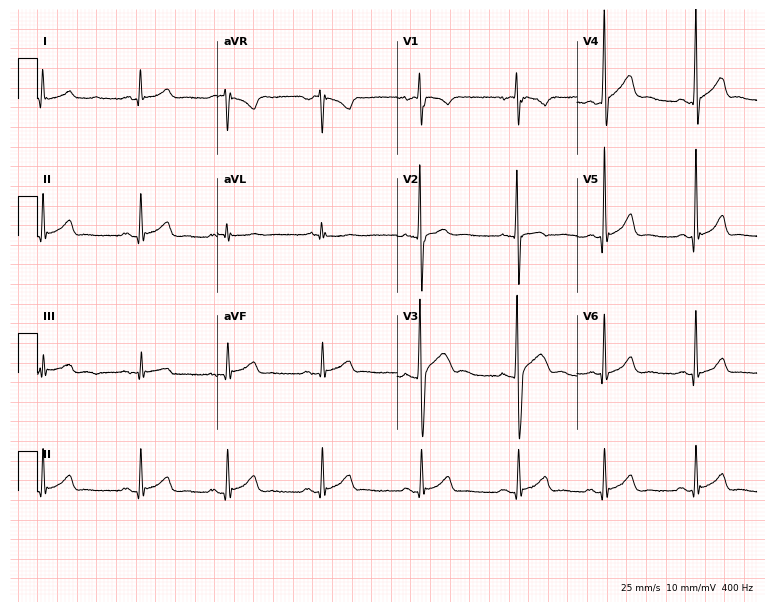
Resting 12-lead electrocardiogram. Patient: a 19-year-old male. None of these six findings is recorded: first-degree AV block, right bundle branch block (RBBB), left bundle branch block (LBBB), sinus bradycardia, atrial fibrillation (AF), sinus tachycardia. Other findings, if any, are not listed.